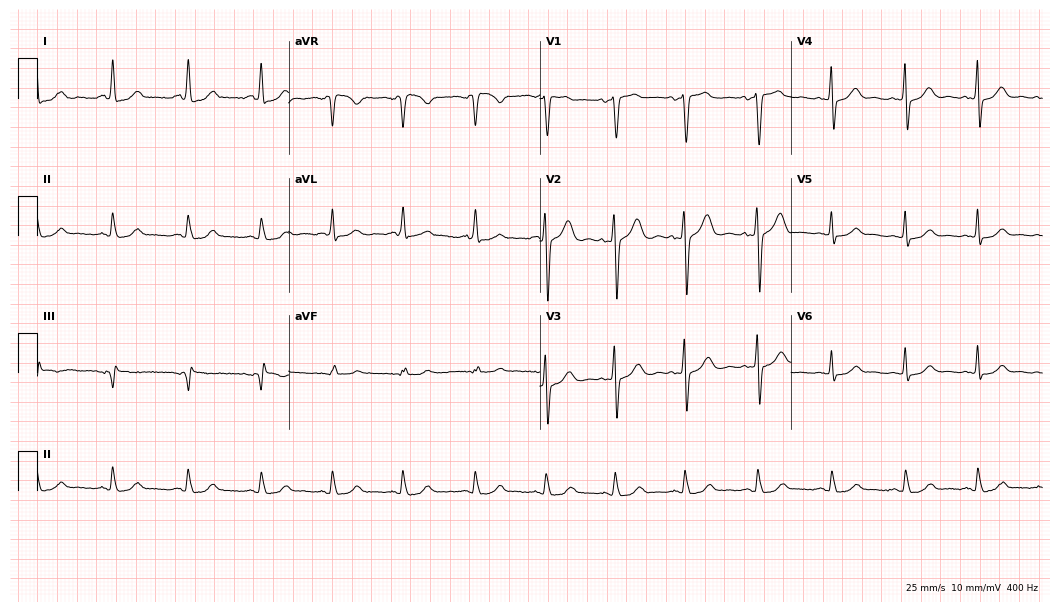
ECG (10.2-second recording at 400 Hz) — a 33-year-old man. Labelled as a normal ECG.